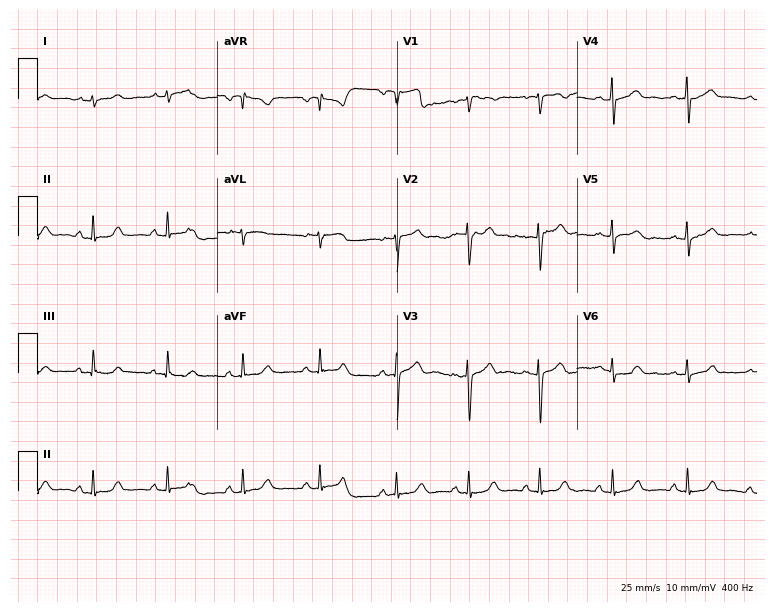
12-lead ECG (7.3-second recording at 400 Hz) from a female, 37 years old. Labelled as a normal ECG.